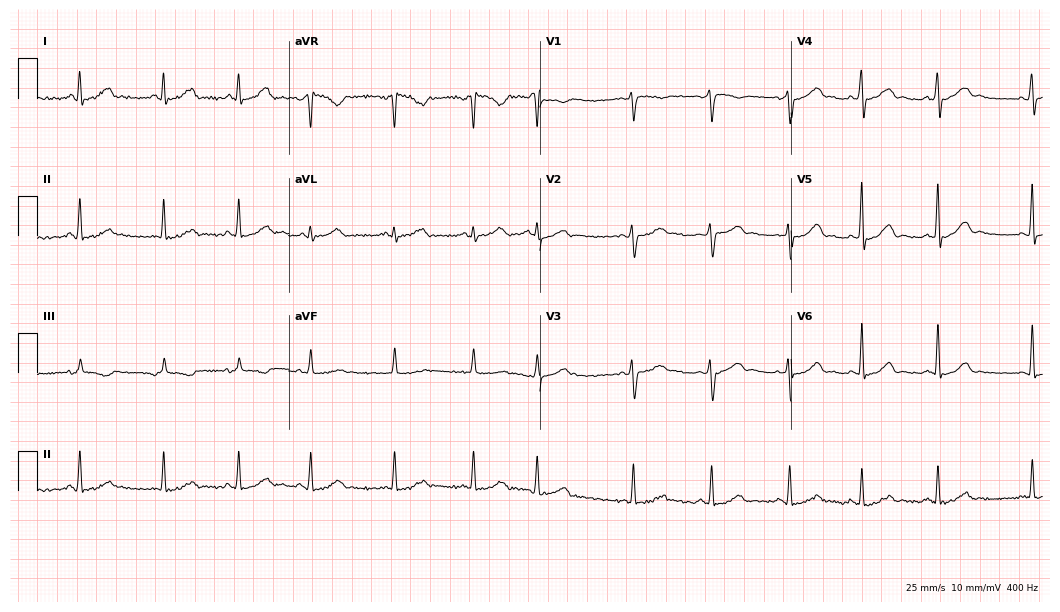
12-lead ECG from a 35-year-old female. No first-degree AV block, right bundle branch block, left bundle branch block, sinus bradycardia, atrial fibrillation or sinus tachycardia recorded for this tracing. Other findings, if any, are not listed.